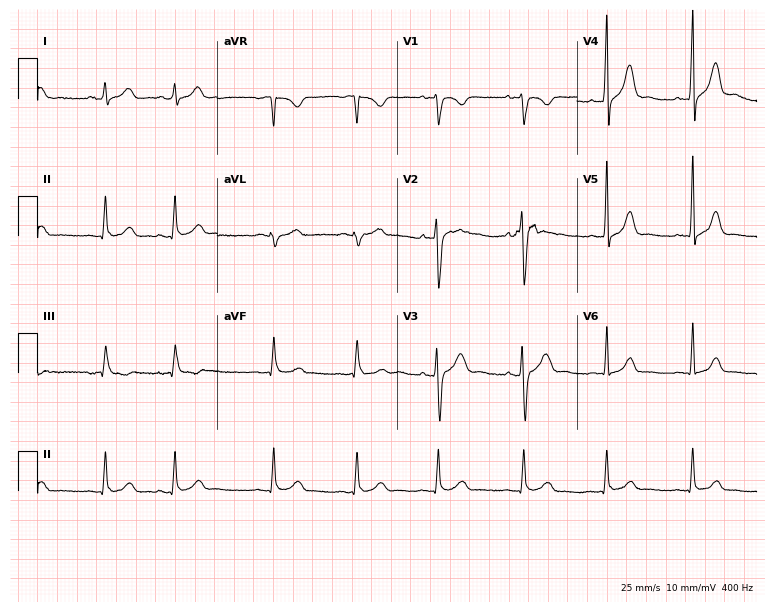
Standard 12-lead ECG recorded from a female patient, 27 years old. Read as a normal ECG.